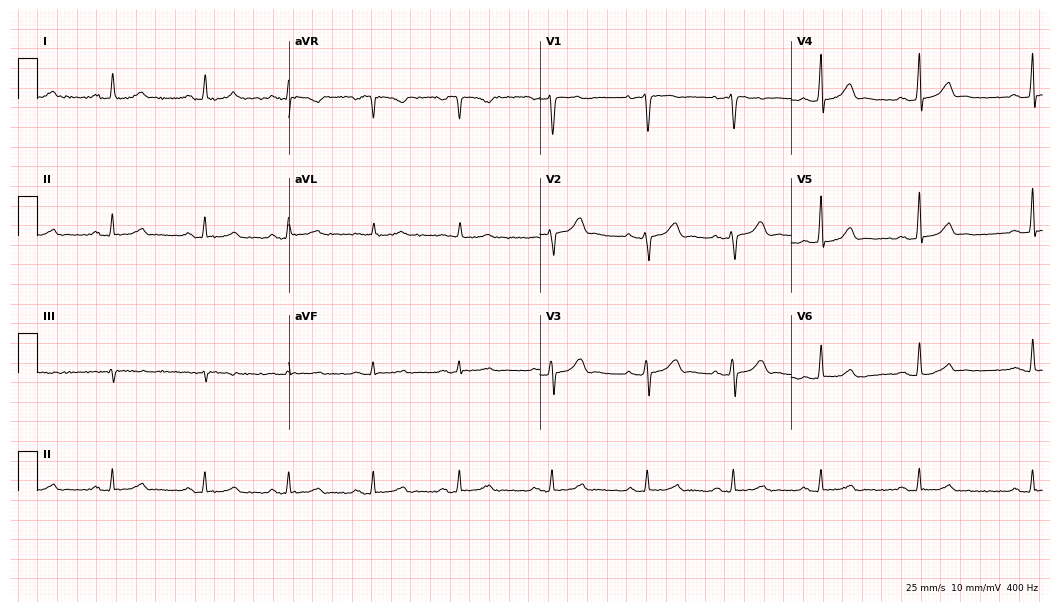
12-lead ECG from a 44-year-old female. No first-degree AV block, right bundle branch block, left bundle branch block, sinus bradycardia, atrial fibrillation or sinus tachycardia recorded for this tracing.